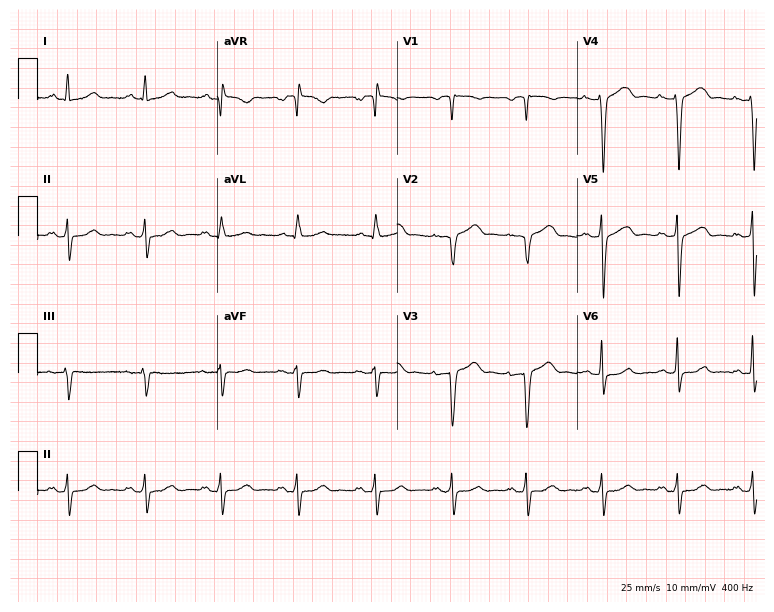
12-lead ECG from a 53-year-old male patient (7.3-second recording at 400 Hz). No first-degree AV block, right bundle branch block (RBBB), left bundle branch block (LBBB), sinus bradycardia, atrial fibrillation (AF) or sinus tachycardia recorded for this tracing. Findings outside these six are not listed.